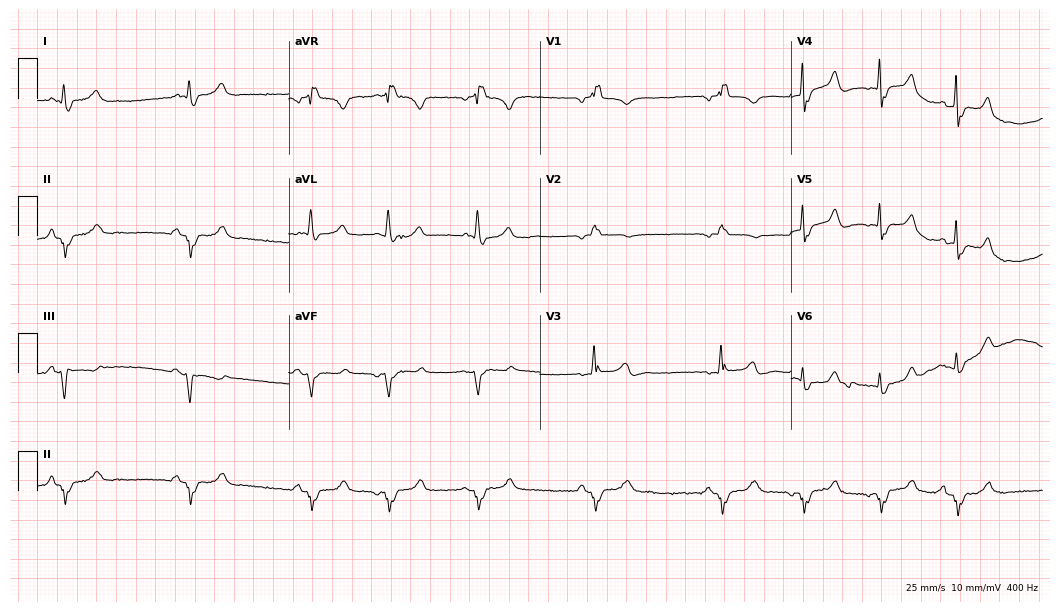
12-lead ECG from an 83-year-old man (10.2-second recording at 400 Hz). Shows right bundle branch block.